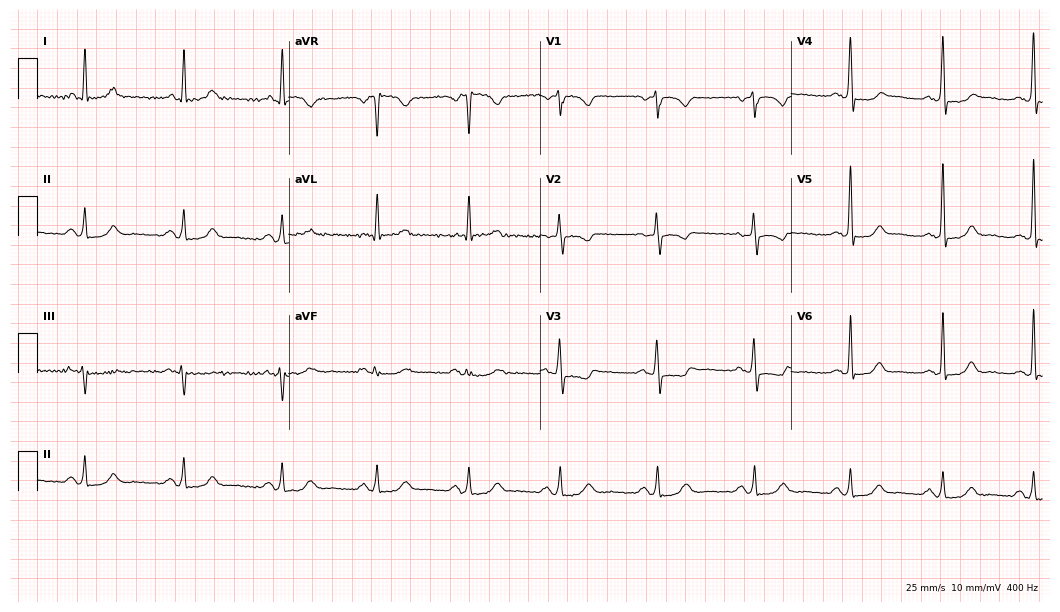
Electrocardiogram (10.2-second recording at 400 Hz), a female, 60 years old. Of the six screened findings (first-degree AV block, right bundle branch block, left bundle branch block, sinus bradycardia, atrial fibrillation, sinus tachycardia), none is recorded.